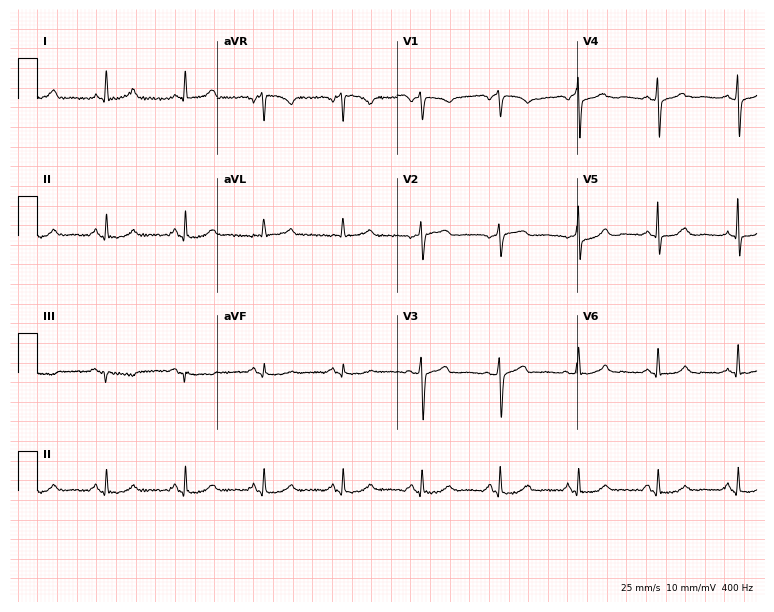
Standard 12-lead ECG recorded from a 69-year-old woman. Read as a normal ECG.